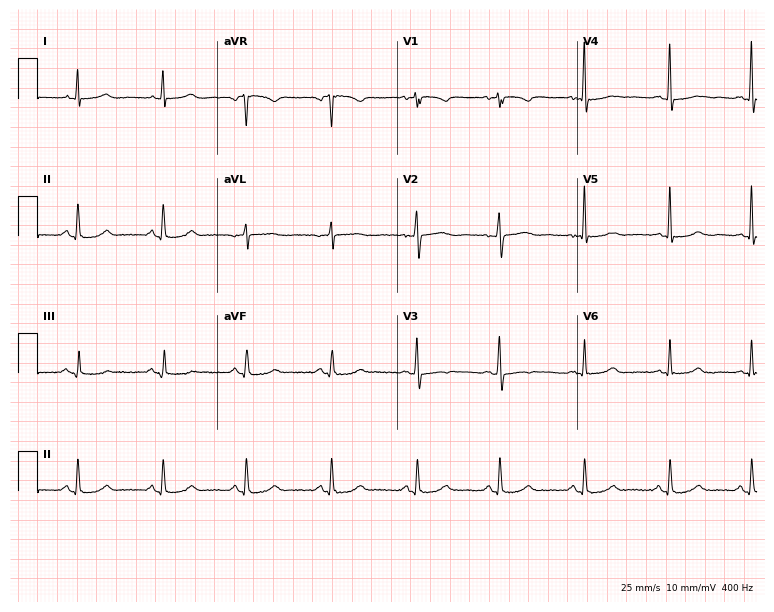
12-lead ECG from a female patient, 57 years old (7.3-second recording at 400 Hz). Recorded interpretation: within normal limits.